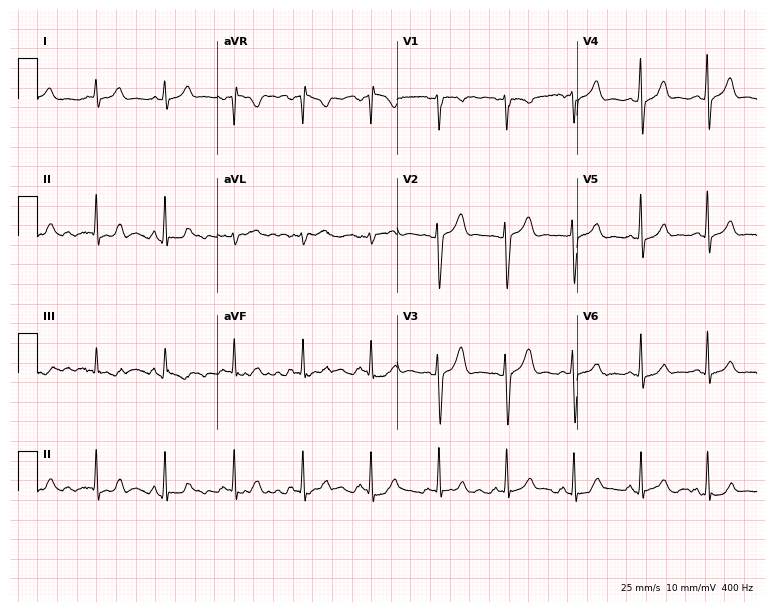
12-lead ECG from a male, 44 years old (7.3-second recording at 400 Hz). Recorded interpretation: within normal limits.